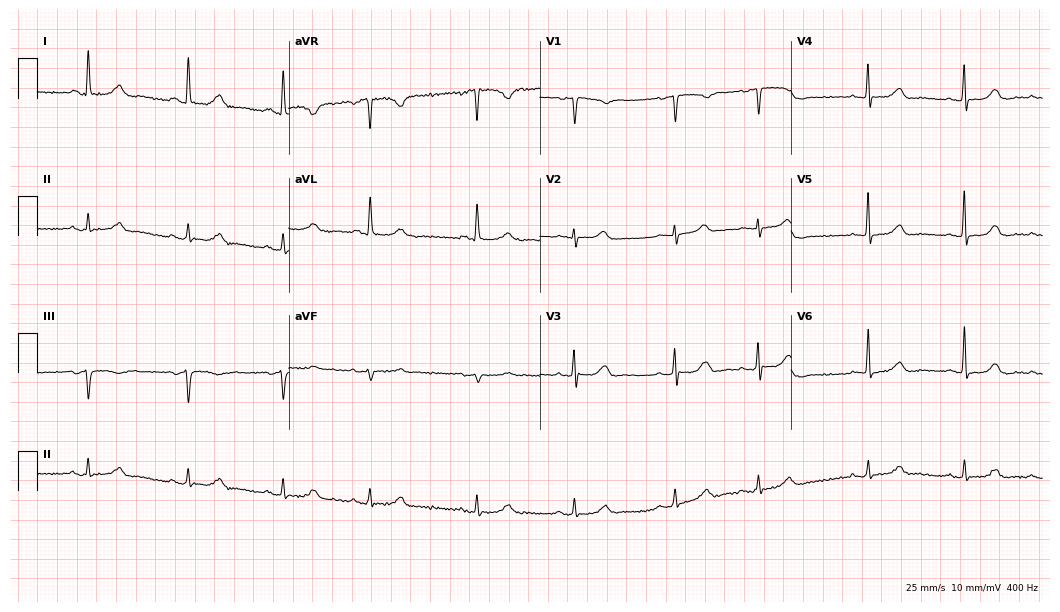
ECG — an 83-year-old female. Screened for six findings — first-degree AV block, right bundle branch block, left bundle branch block, sinus bradycardia, atrial fibrillation, sinus tachycardia — none is recorded. Only these six findings were labelled.